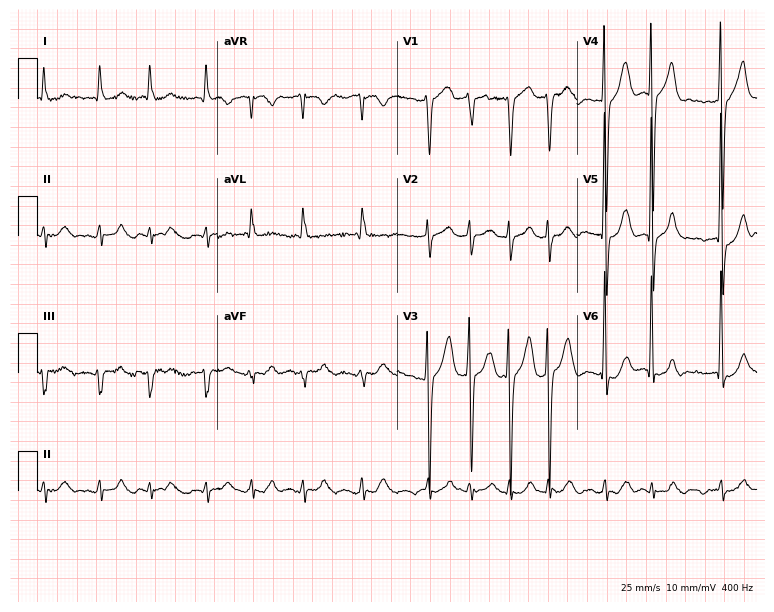
12-lead ECG from a 77-year-old male patient. Shows atrial fibrillation.